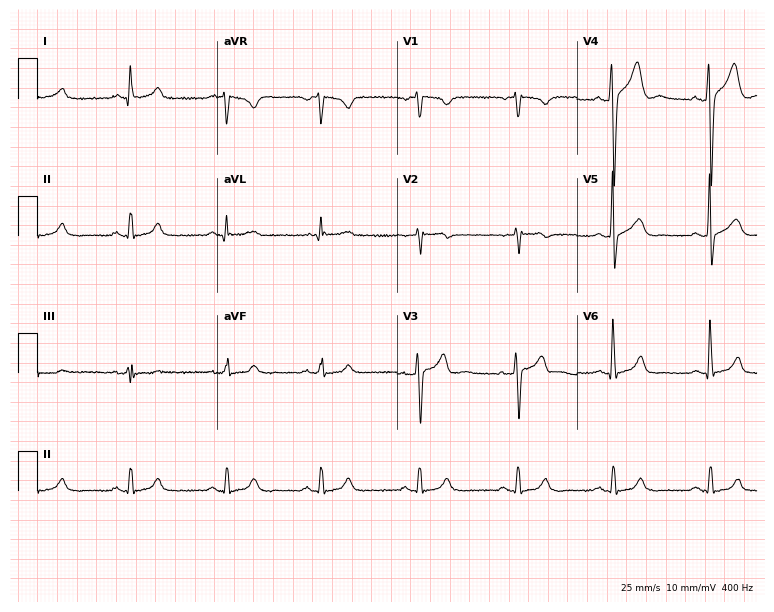
Electrocardiogram (7.3-second recording at 400 Hz), a 40-year-old man. Of the six screened findings (first-degree AV block, right bundle branch block (RBBB), left bundle branch block (LBBB), sinus bradycardia, atrial fibrillation (AF), sinus tachycardia), none is recorded.